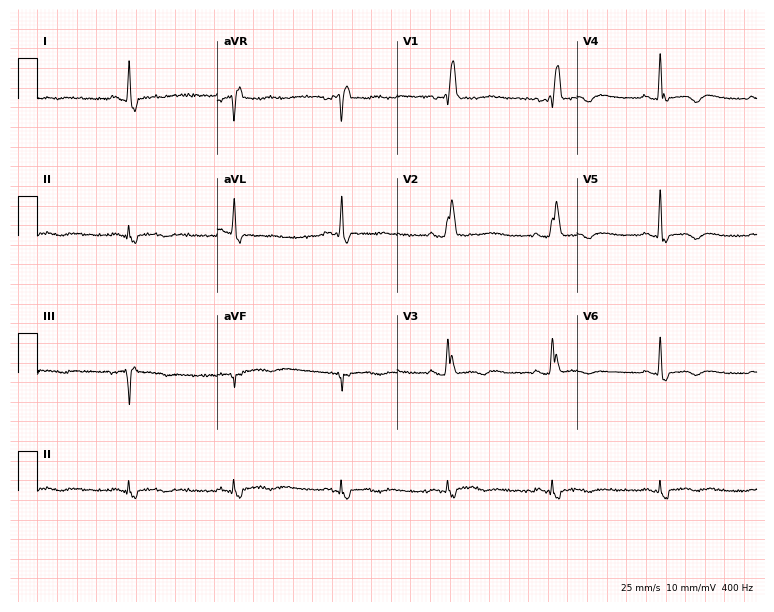
Electrocardiogram (7.3-second recording at 400 Hz), a male patient, 61 years old. Interpretation includes right bundle branch block.